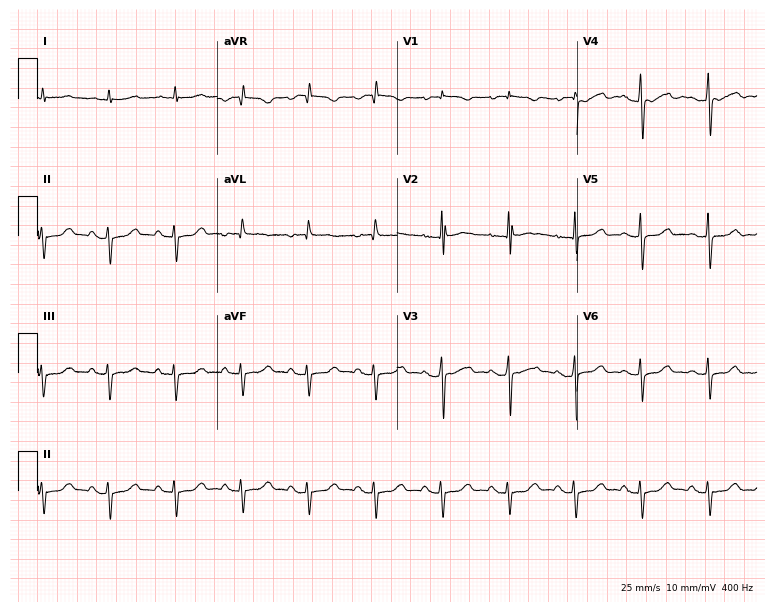
ECG (7.3-second recording at 400 Hz) — an 82-year-old female. Screened for six findings — first-degree AV block, right bundle branch block, left bundle branch block, sinus bradycardia, atrial fibrillation, sinus tachycardia — none is recorded. Other findings, if any, are not listed.